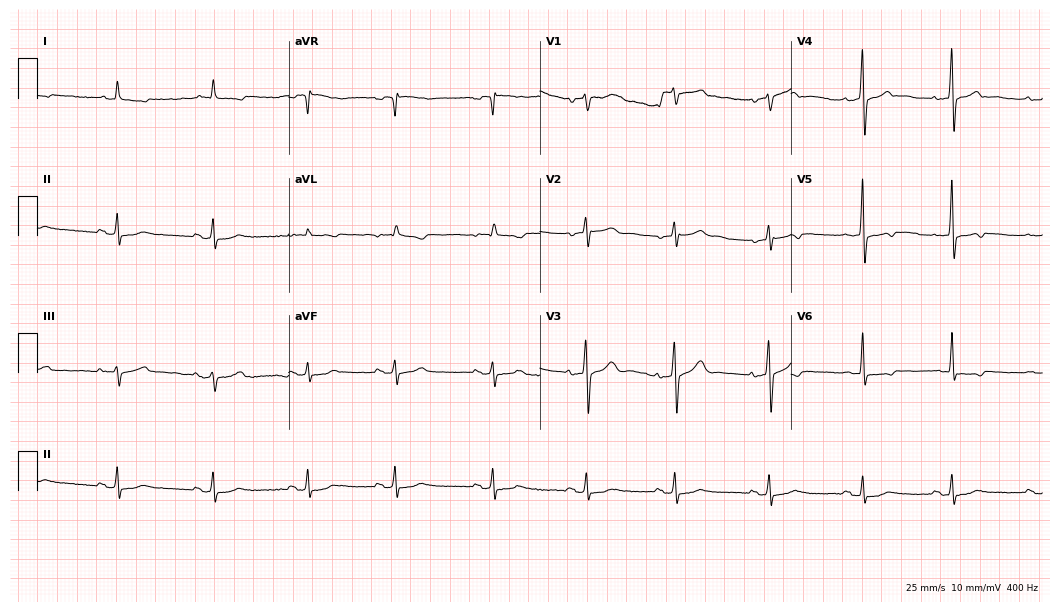
12-lead ECG from a man, 74 years old. No first-degree AV block, right bundle branch block, left bundle branch block, sinus bradycardia, atrial fibrillation or sinus tachycardia recorded for this tracing. Only these six findings were labelled.